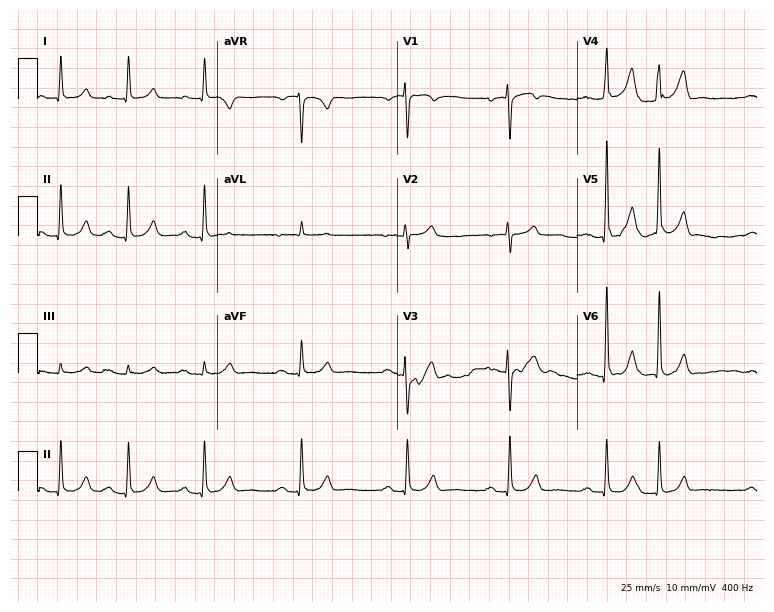
12-lead ECG from a woman, 81 years old (7.3-second recording at 400 Hz). No first-degree AV block, right bundle branch block (RBBB), left bundle branch block (LBBB), sinus bradycardia, atrial fibrillation (AF) or sinus tachycardia recorded for this tracing.